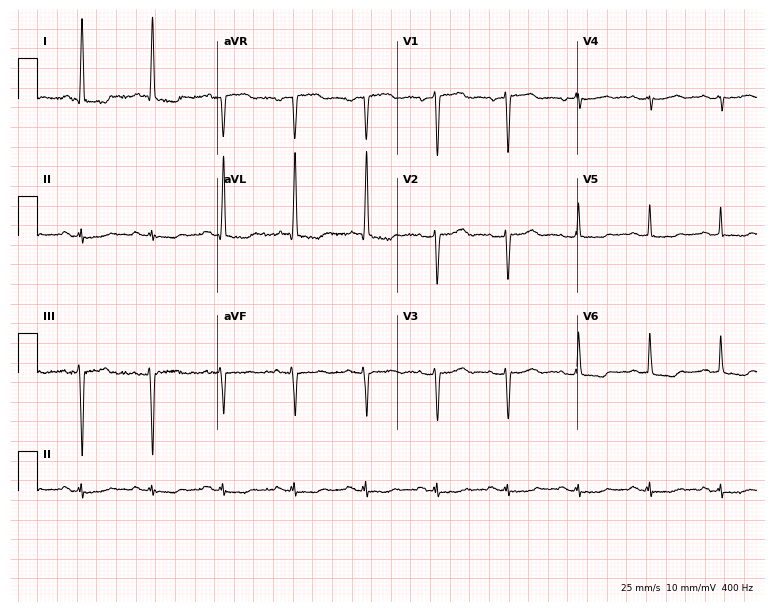
12-lead ECG from a female, 76 years old. No first-degree AV block, right bundle branch block, left bundle branch block, sinus bradycardia, atrial fibrillation or sinus tachycardia recorded for this tracing.